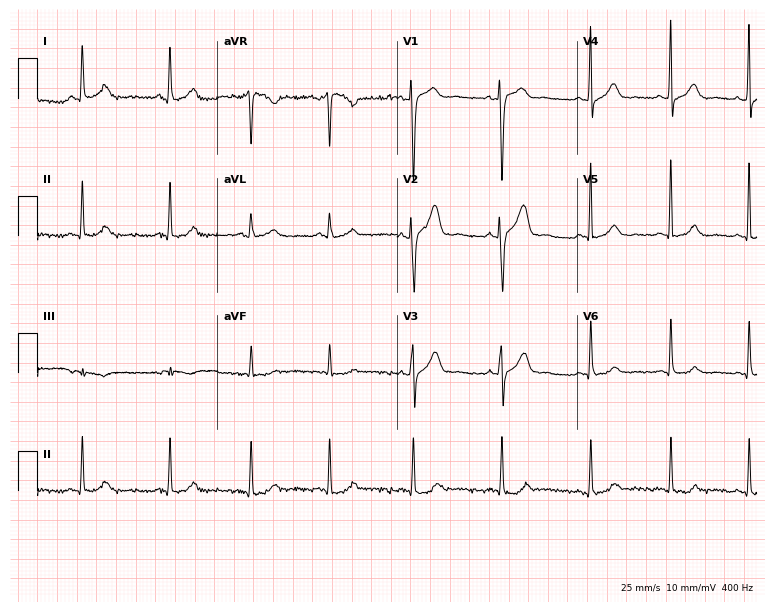
Electrocardiogram, a female, 35 years old. Overall reading on record: normal ECG.